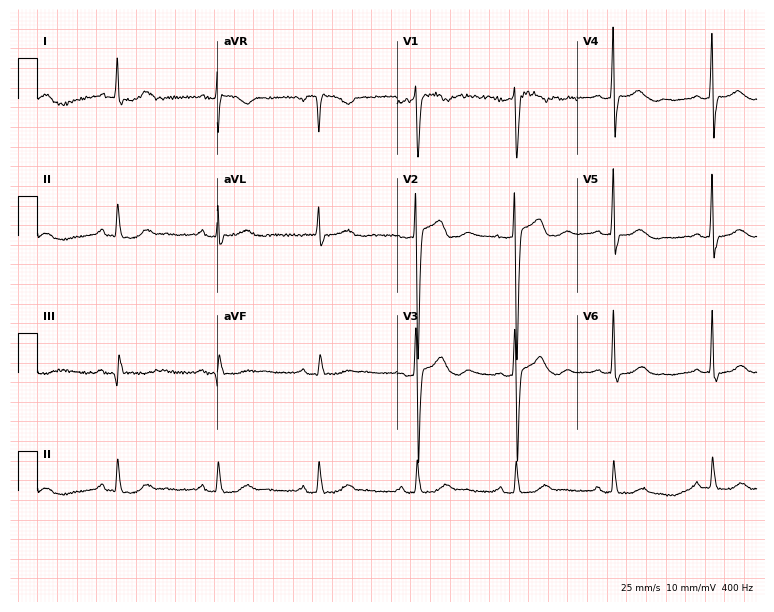
12-lead ECG (7.3-second recording at 400 Hz) from a female, 51 years old. Labelled as a normal ECG.